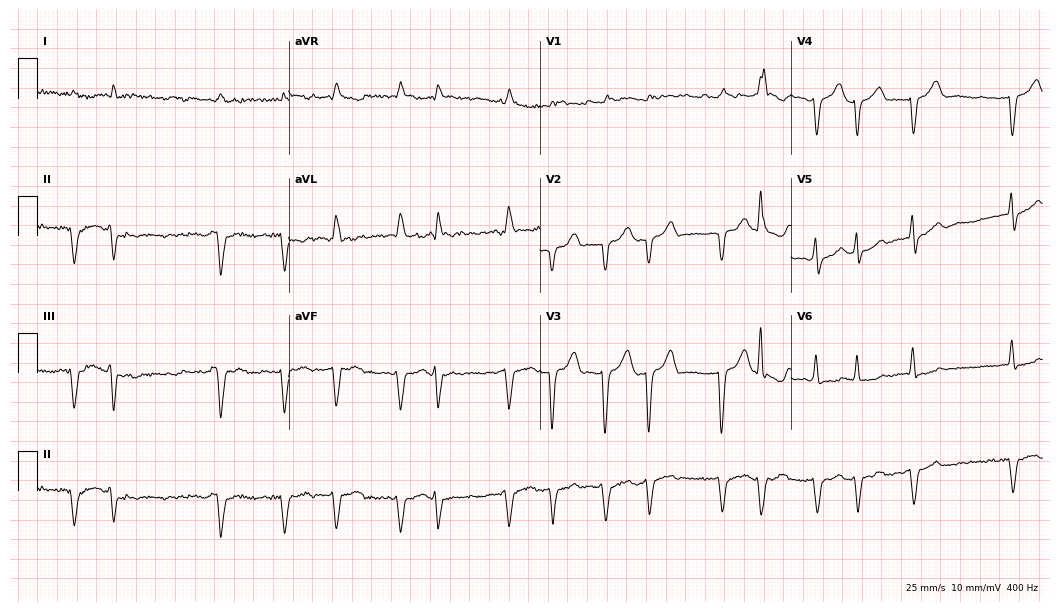
Resting 12-lead electrocardiogram. Patient: an 82-year-old male. The tracing shows atrial fibrillation.